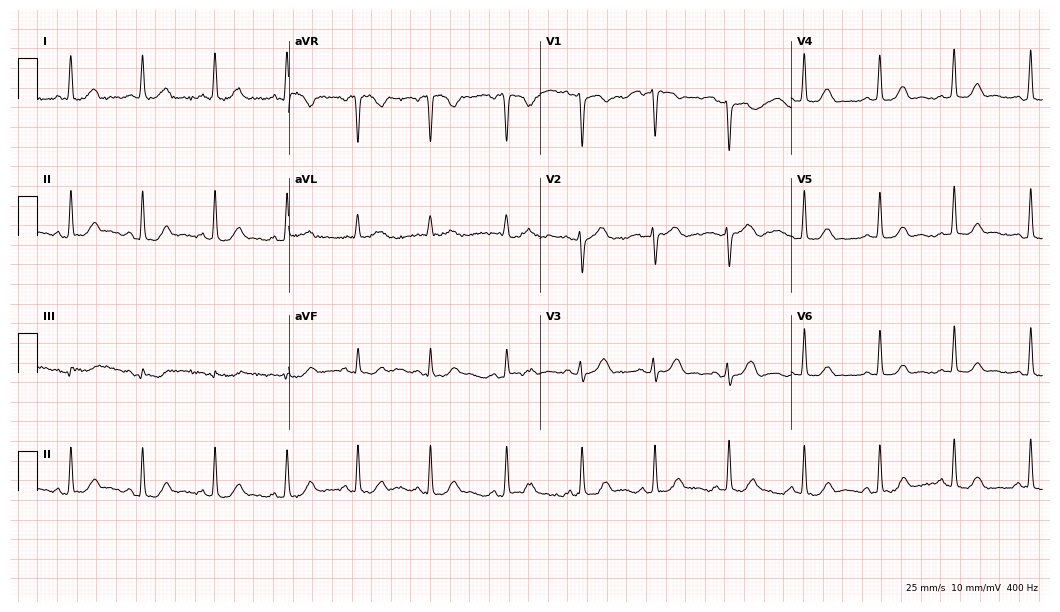
Electrocardiogram, a woman, 90 years old or older. Overall reading on record: normal ECG.